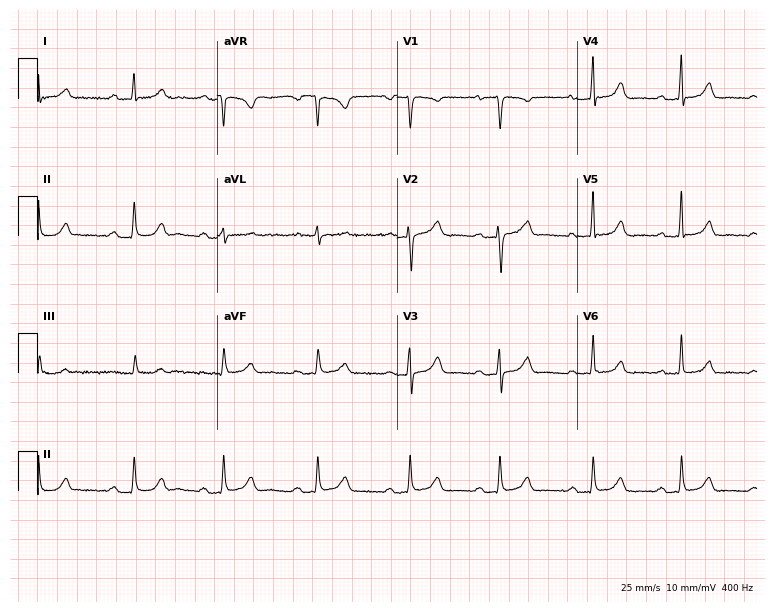
12-lead ECG from a 31-year-old female. Labelled as a normal ECG.